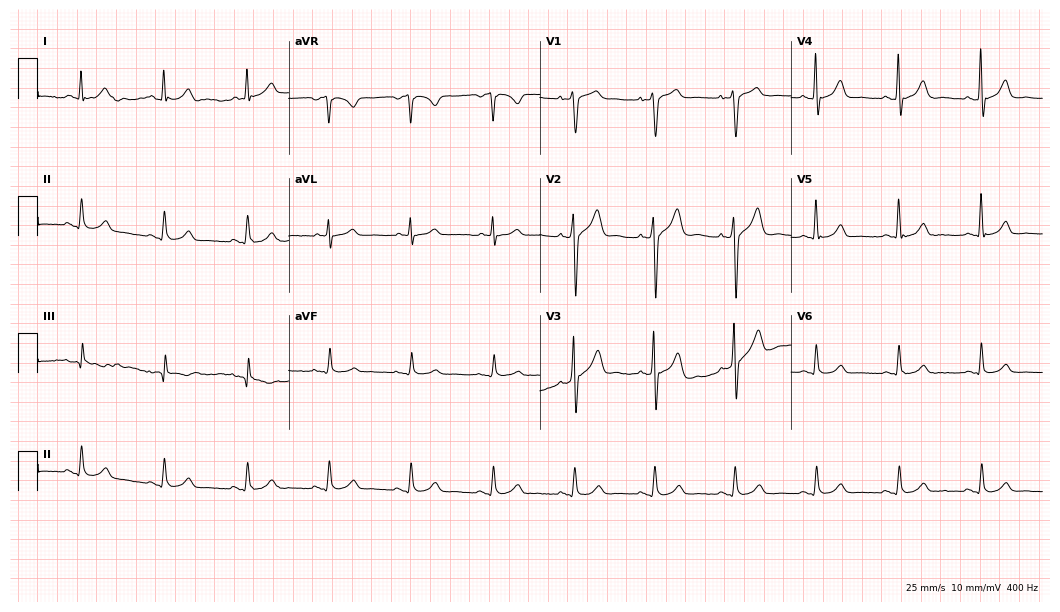
Electrocardiogram, a 54-year-old male patient. Overall reading on record: normal ECG.